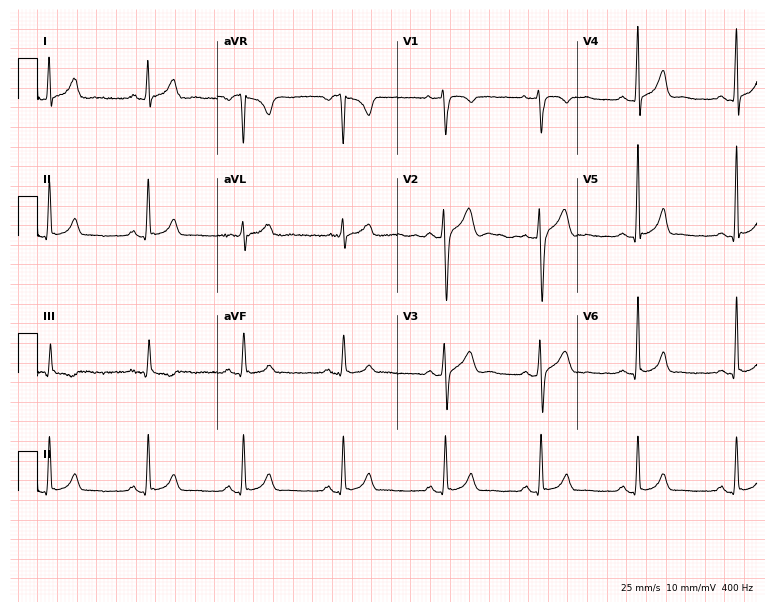
Standard 12-lead ECG recorded from a 26-year-old male patient. None of these six findings is recorded: first-degree AV block, right bundle branch block (RBBB), left bundle branch block (LBBB), sinus bradycardia, atrial fibrillation (AF), sinus tachycardia.